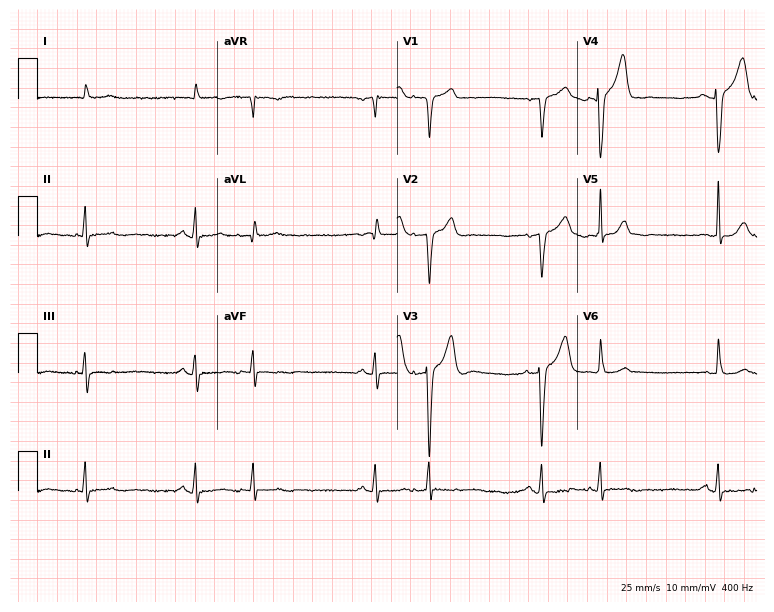
12-lead ECG (7.3-second recording at 400 Hz) from an 81-year-old male. Labelled as a normal ECG.